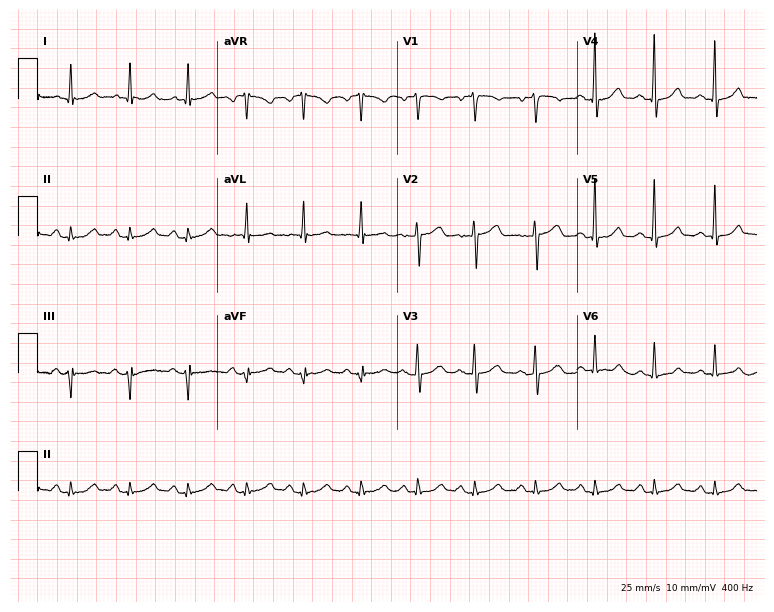
ECG (7.3-second recording at 400 Hz) — a 52-year-old woman. Findings include sinus tachycardia (a sinus rate of 100 beats per minute or more).